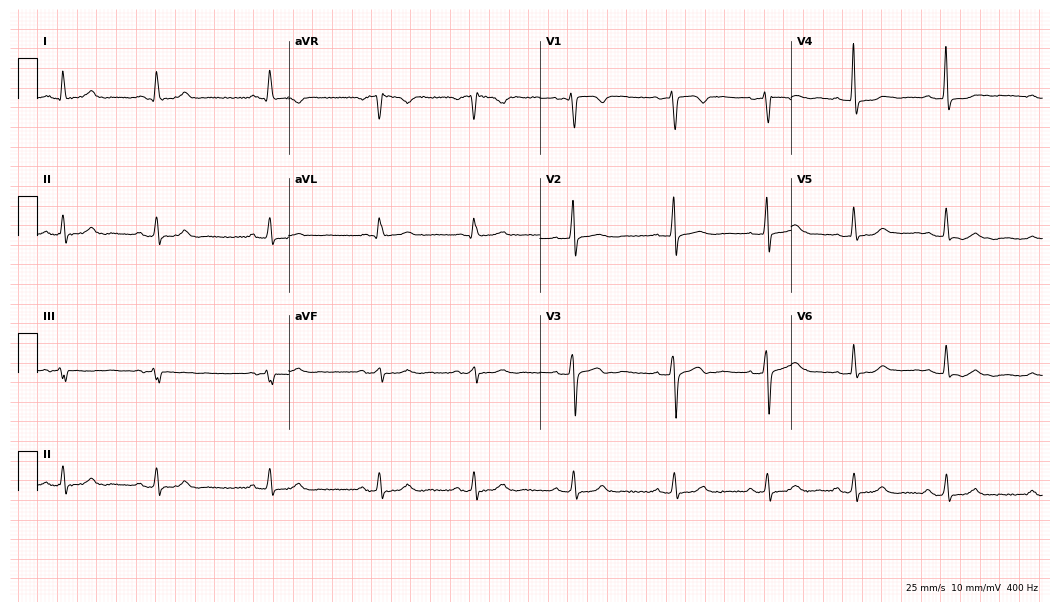
Electrocardiogram (10.2-second recording at 400 Hz), a female, 26 years old. Overall reading on record: normal ECG.